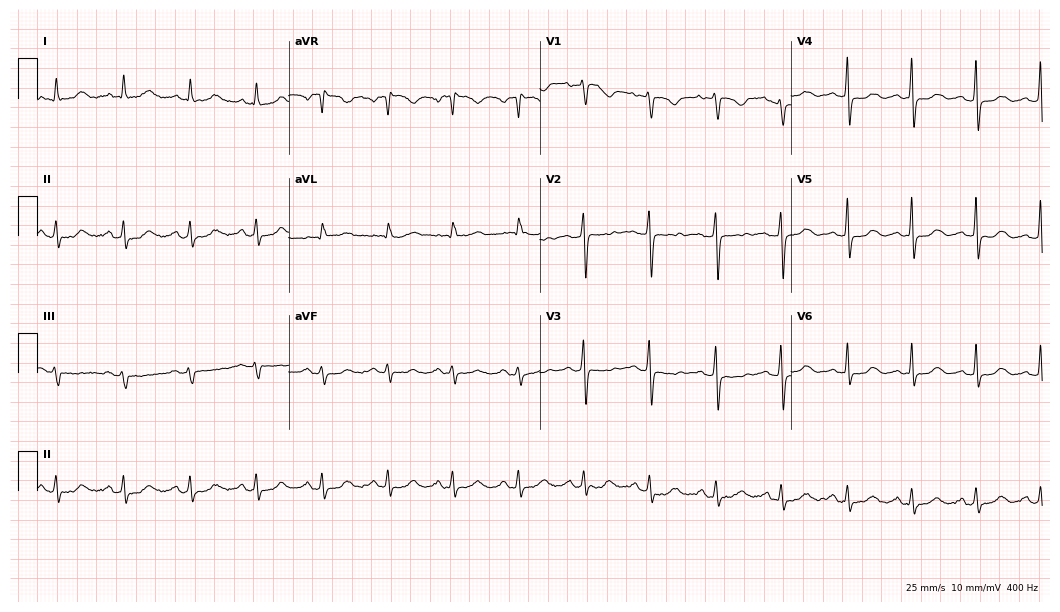
12-lead ECG from a female patient, 52 years old. Recorded interpretation: within normal limits.